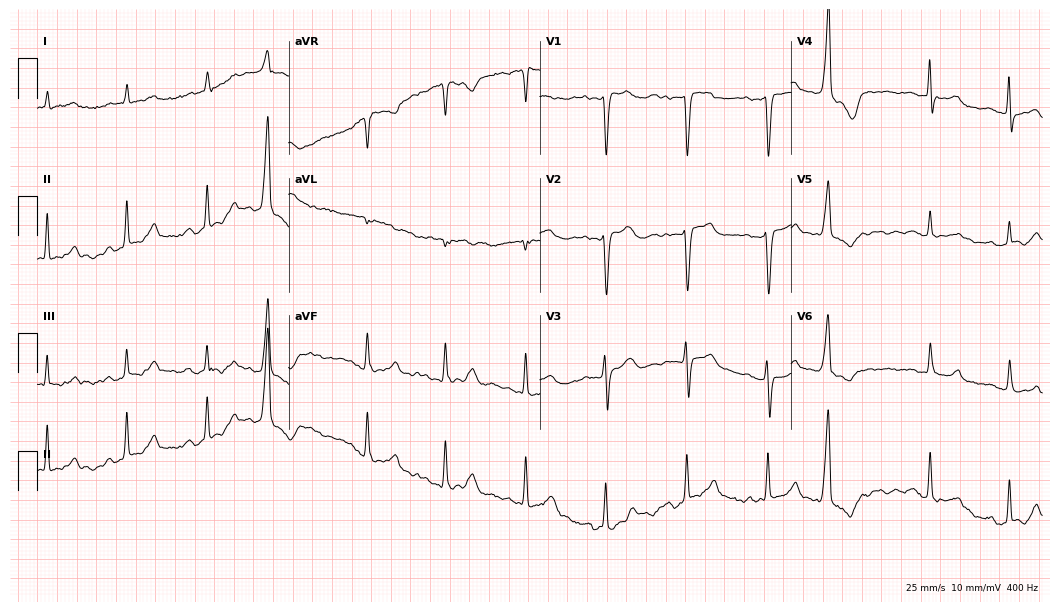
Electrocardiogram (10.2-second recording at 400 Hz), an 83-year-old woman. Of the six screened findings (first-degree AV block, right bundle branch block, left bundle branch block, sinus bradycardia, atrial fibrillation, sinus tachycardia), none is recorded.